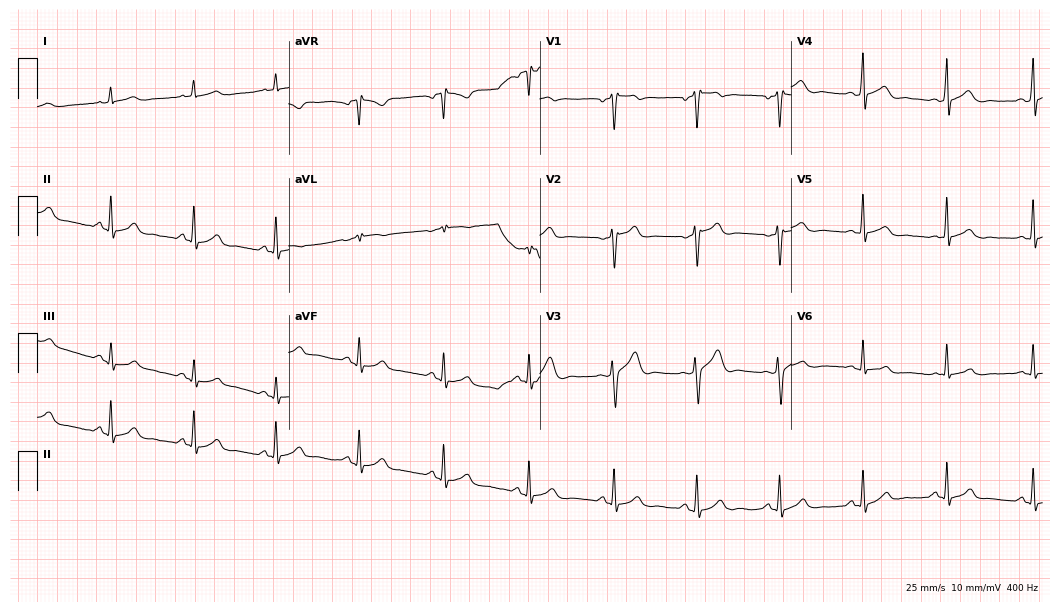
ECG (10.2-second recording at 400 Hz) — a male patient, 41 years old. Labelled as a normal ECG.